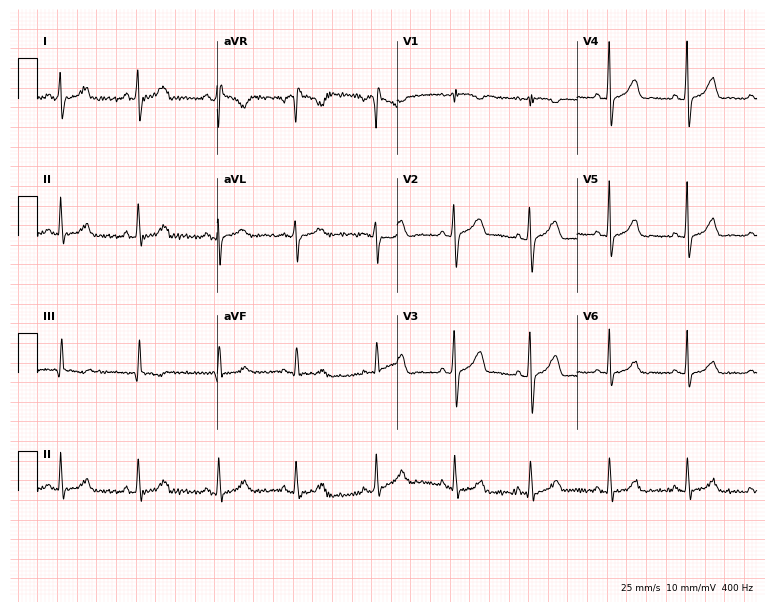
12-lead ECG from a female patient, 32 years old (7.3-second recording at 400 Hz). Recorded interpretation: within normal limits.